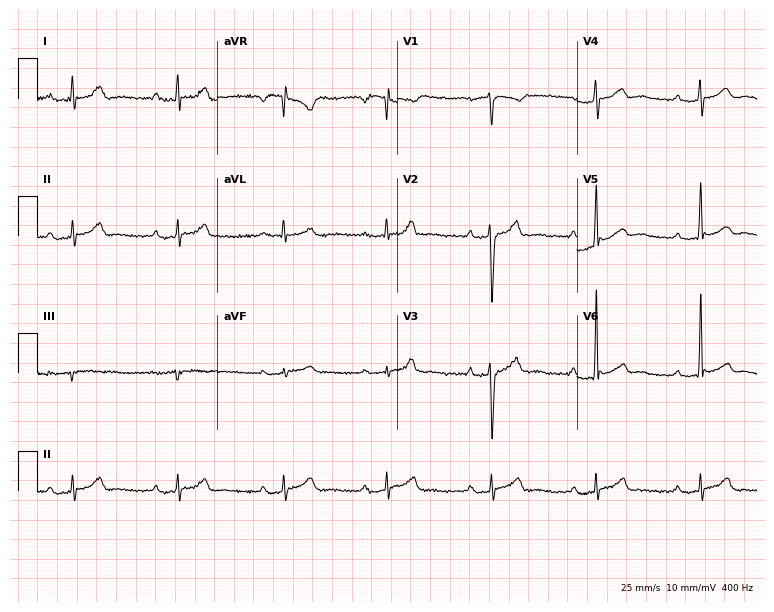
ECG — a male, 35 years old. Findings include first-degree AV block.